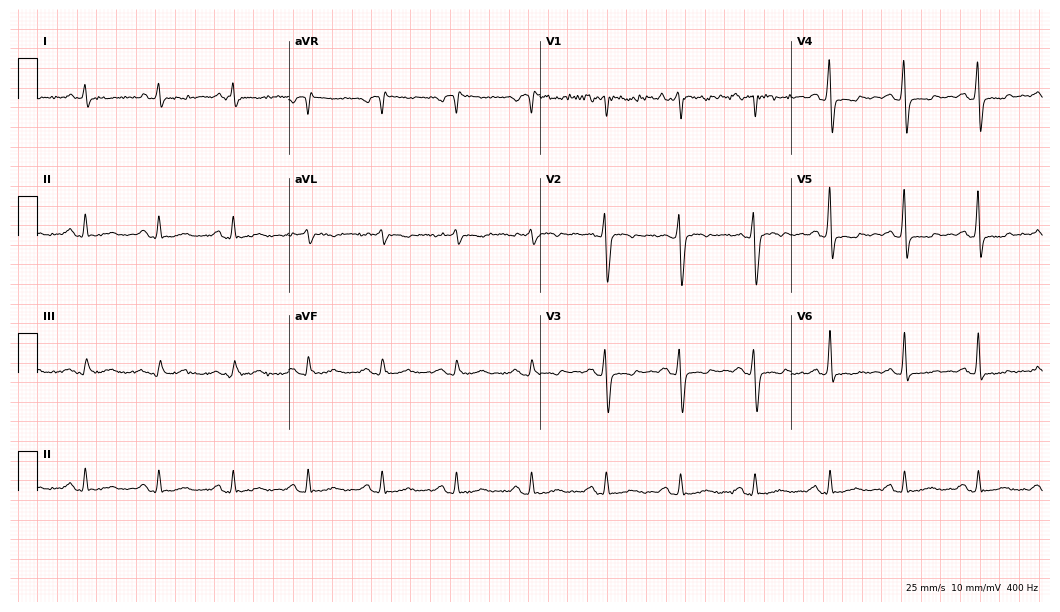
Electrocardiogram, a male patient, 66 years old. Of the six screened findings (first-degree AV block, right bundle branch block (RBBB), left bundle branch block (LBBB), sinus bradycardia, atrial fibrillation (AF), sinus tachycardia), none is recorded. Findings outside these six are not listed.